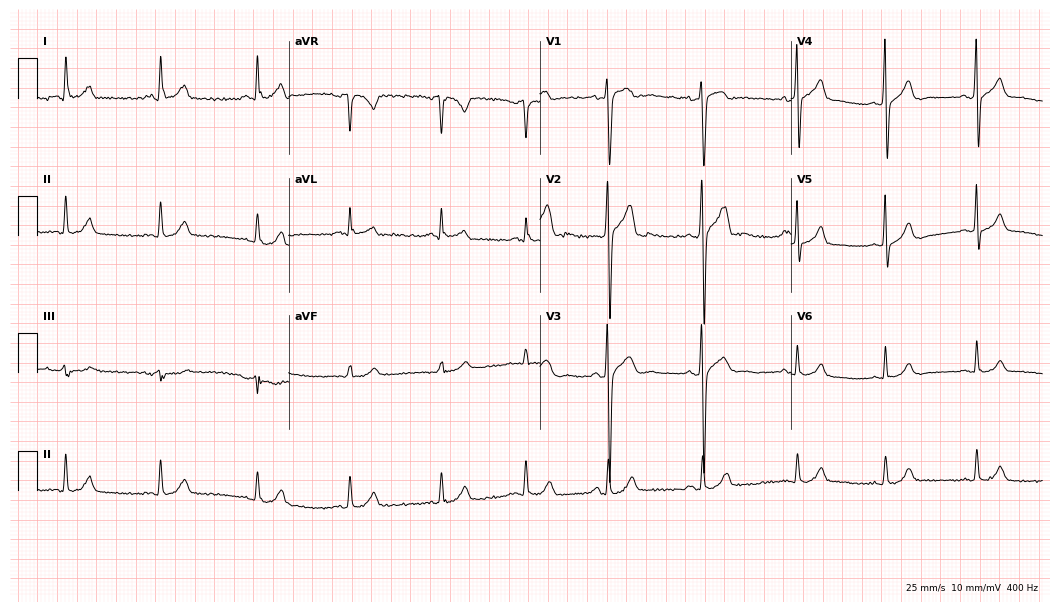
Electrocardiogram, a 29-year-old male. Overall reading on record: normal ECG.